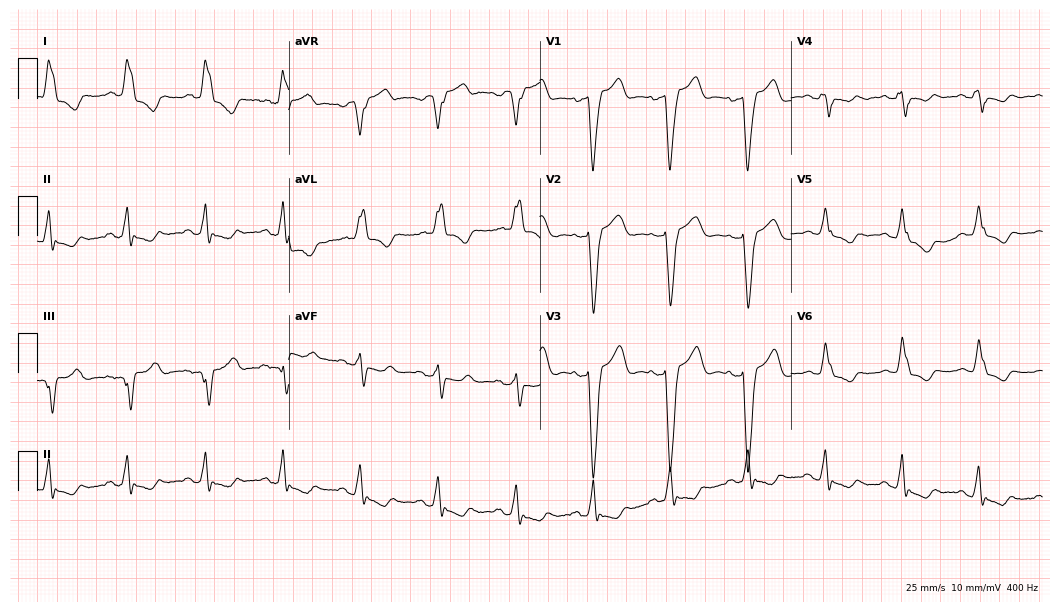
Electrocardiogram (10.2-second recording at 400 Hz), an 80-year-old woman. Of the six screened findings (first-degree AV block, right bundle branch block (RBBB), left bundle branch block (LBBB), sinus bradycardia, atrial fibrillation (AF), sinus tachycardia), none is recorded.